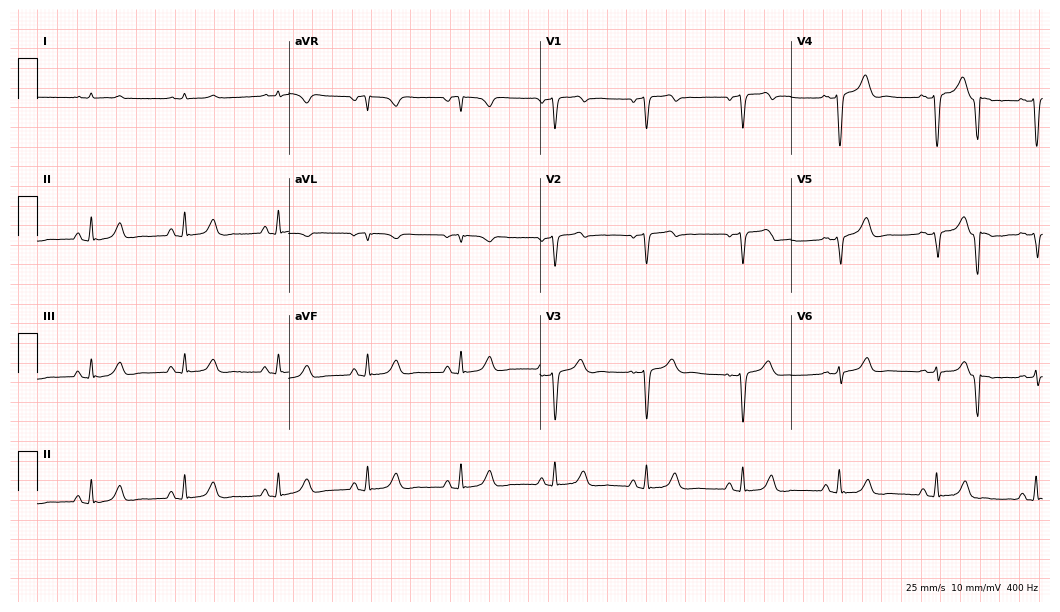
12-lead ECG from a 64-year-old male. Screened for six findings — first-degree AV block, right bundle branch block, left bundle branch block, sinus bradycardia, atrial fibrillation, sinus tachycardia — none is recorded.